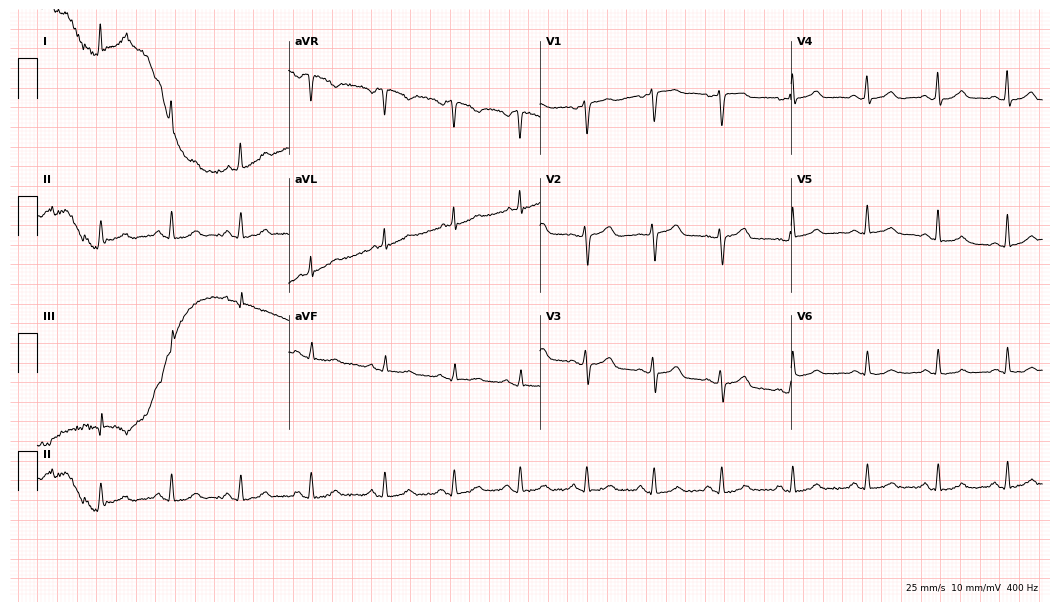
Resting 12-lead electrocardiogram (10.2-second recording at 400 Hz). Patient: a woman, 45 years old. Read as a normal ECG.